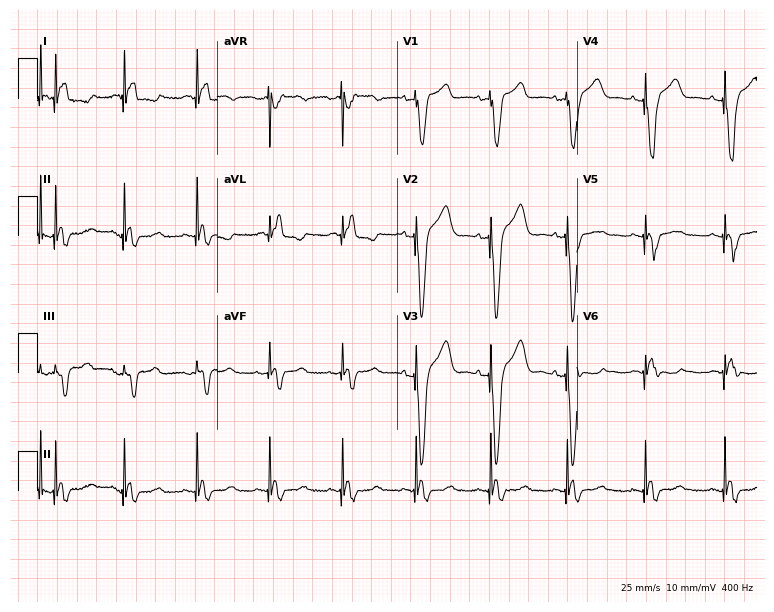
Resting 12-lead electrocardiogram. Patient: a woman, 72 years old. None of these six findings is recorded: first-degree AV block, right bundle branch block (RBBB), left bundle branch block (LBBB), sinus bradycardia, atrial fibrillation (AF), sinus tachycardia. Findings outside these six are not listed.